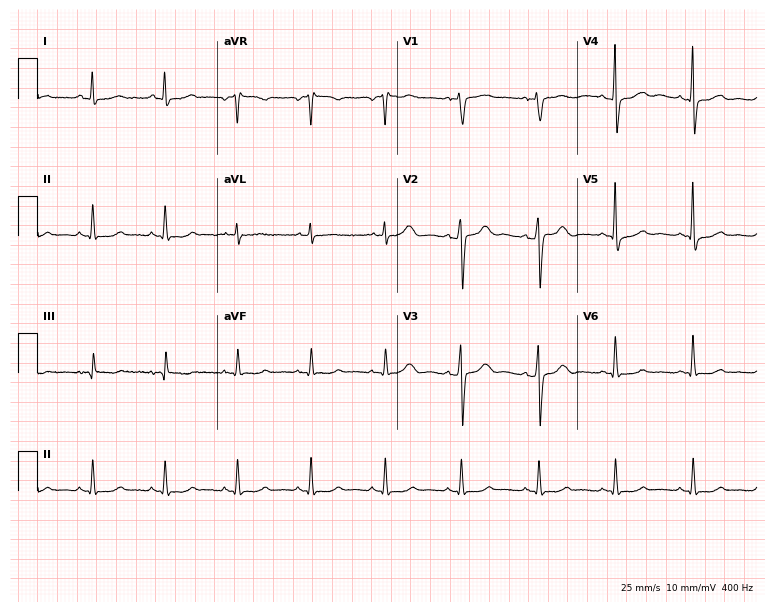
Resting 12-lead electrocardiogram. Patient: a 43-year-old female. None of these six findings is recorded: first-degree AV block, right bundle branch block (RBBB), left bundle branch block (LBBB), sinus bradycardia, atrial fibrillation (AF), sinus tachycardia. Findings outside these six are not listed.